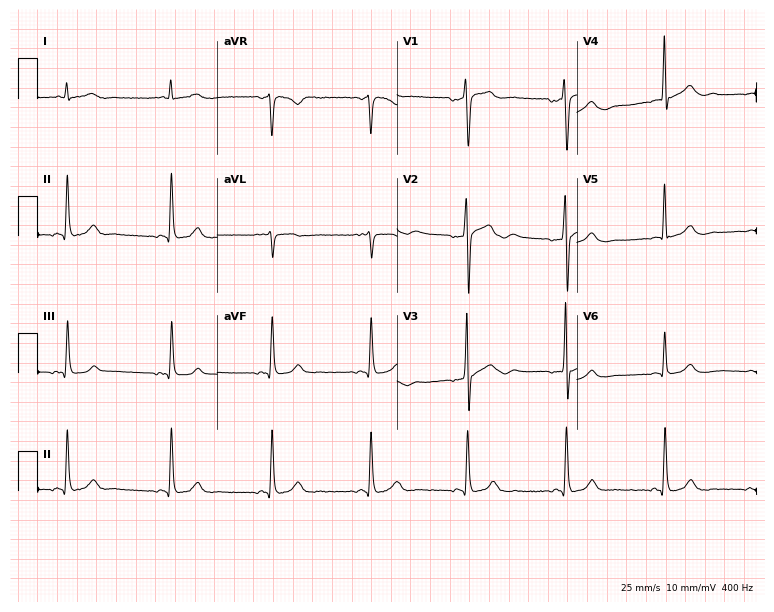
12-lead ECG from a 35-year-old male patient (7.3-second recording at 400 Hz). No first-degree AV block, right bundle branch block, left bundle branch block, sinus bradycardia, atrial fibrillation or sinus tachycardia recorded for this tracing.